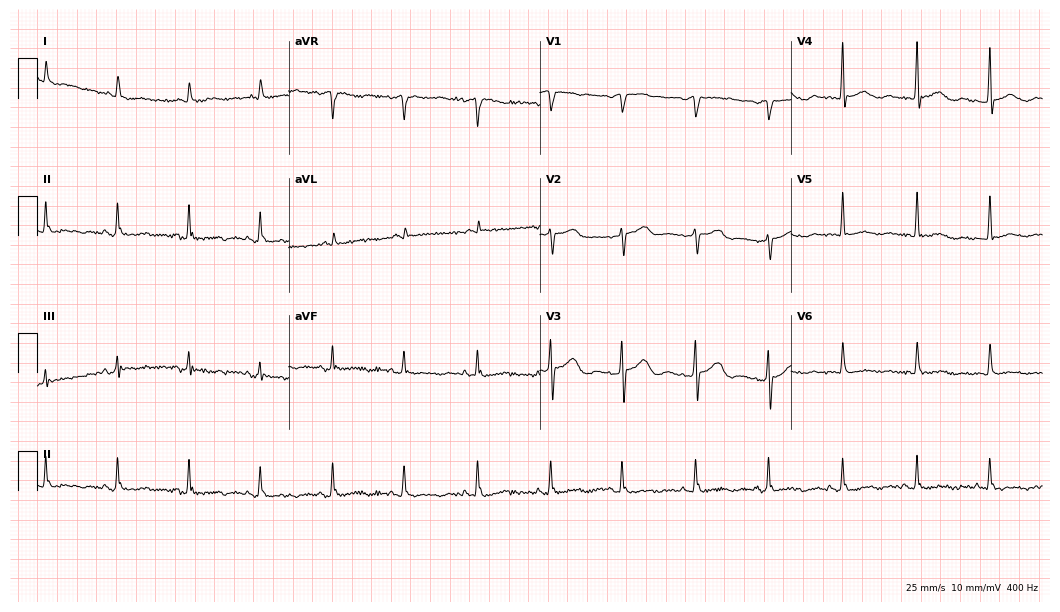
Resting 12-lead electrocardiogram (10.2-second recording at 400 Hz). Patient: a 62-year-old female. None of these six findings is recorded: first-degree AV block, right bundle branch block, left bundle branch block, sinus bradycardia, atrial fibrillation, sinus tachycardia. Only these six findings were labelled.